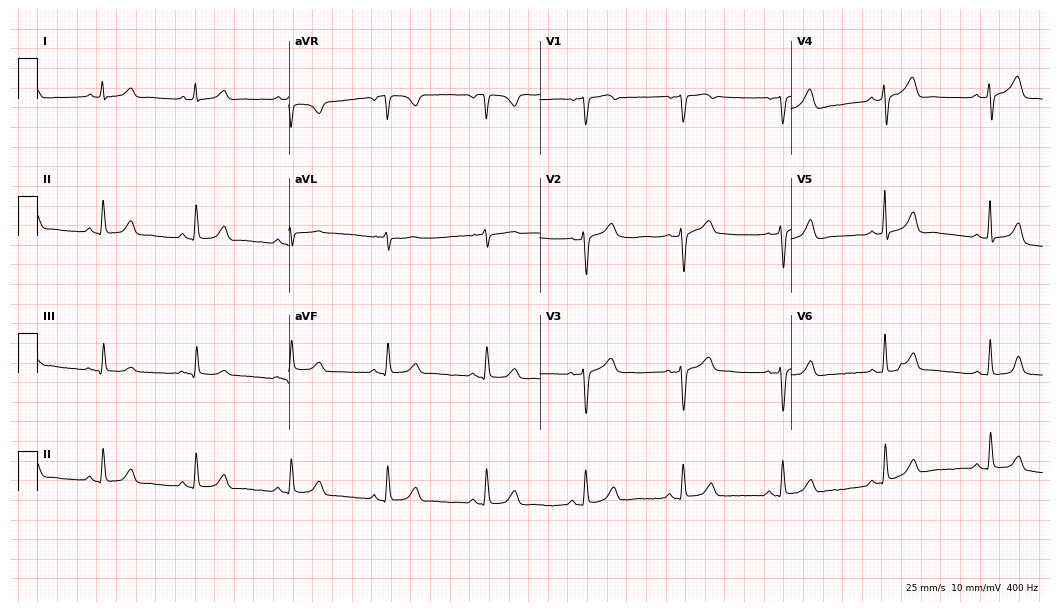
12-lead ECG from a 65-year-old female. Recorded interpretation: within normal limits.